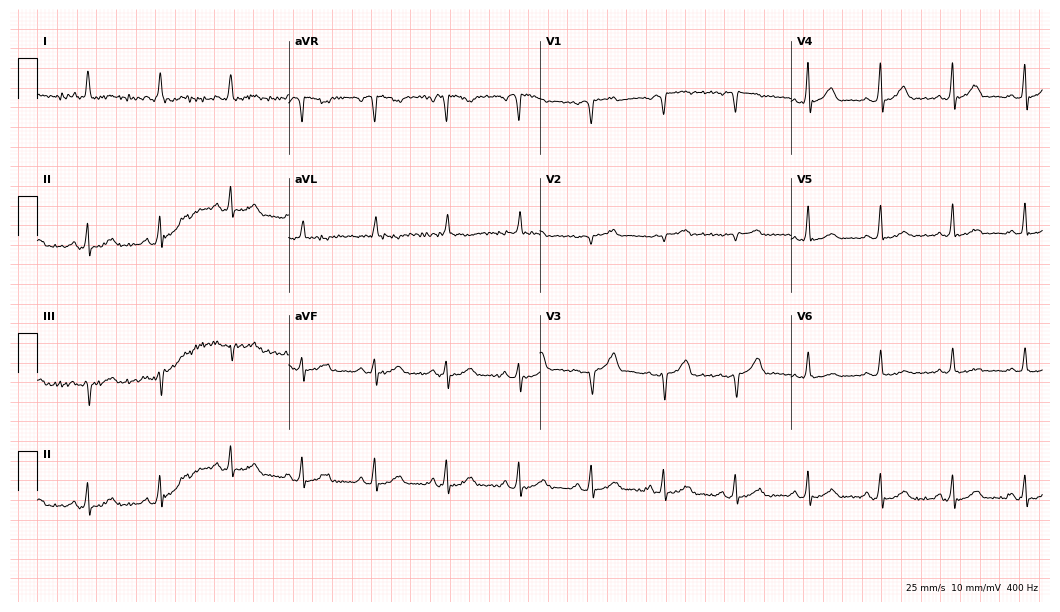
ECG (10.2-second recording at 400 Hz) — a female, 65 years old. Labelled as a normal ECG.